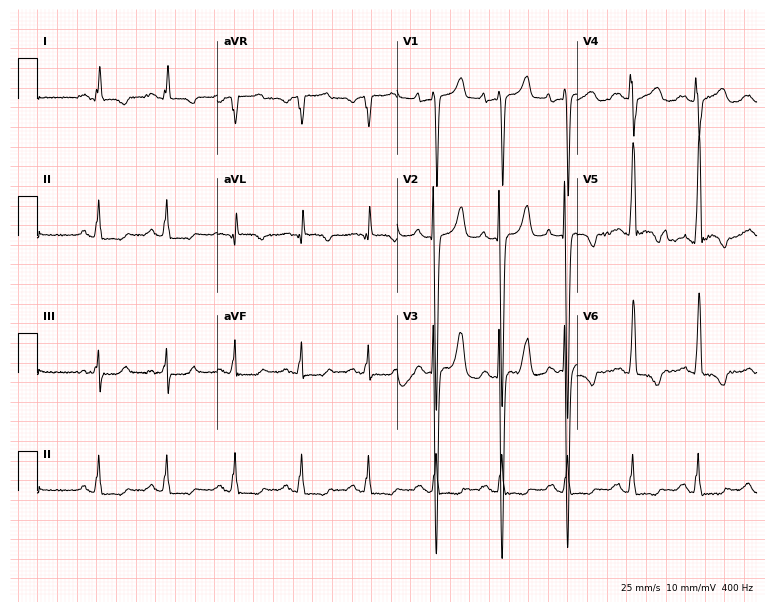
Resting 12-lead electrocardiogram. Patient: a man, 71 years old. None of these six findings is recorded: first-degree AV block, right bundle branch block (RBBB), left bundle branch block (LBBB), sinus bradycardia, atrial fibrillation (AF), sinus tachycardia. Only these six findings were labelled.